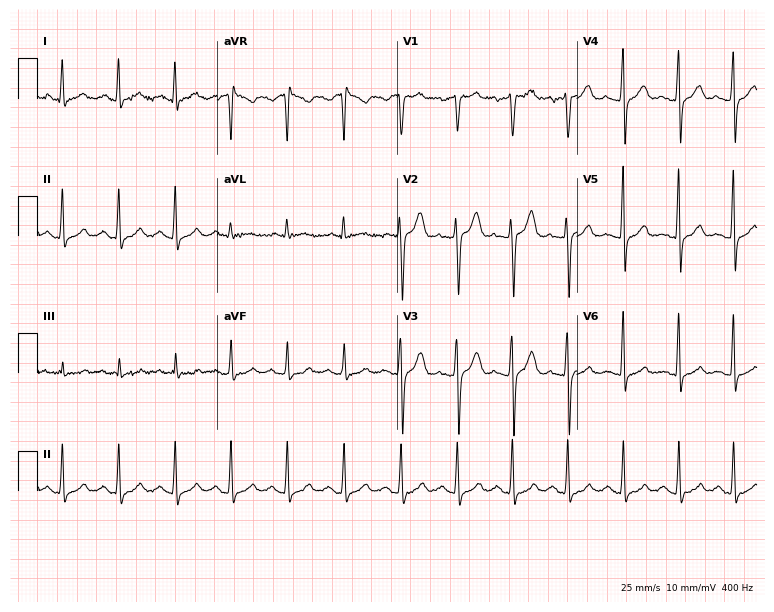
Resting 12-lead electrocardiogram. Patient: a male, 26 years old. The tracing shows sinus tachycardia (a sinus rate of 100 beats per minute or more).